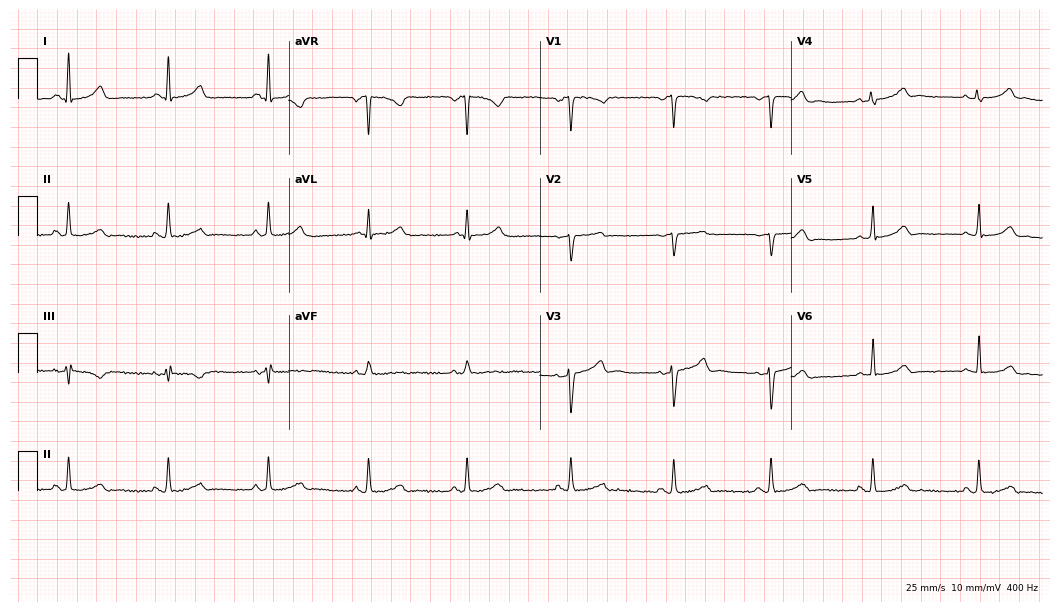
12-lead ECG from a female patient, 26 years old. Labelled as a normal ECG.